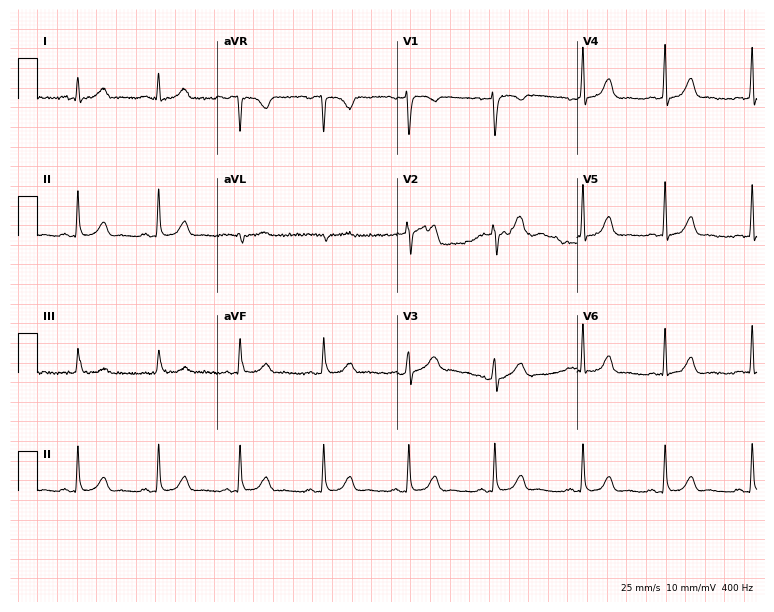
ECG — a 27-year-old female. Labelled as a normal ECG.